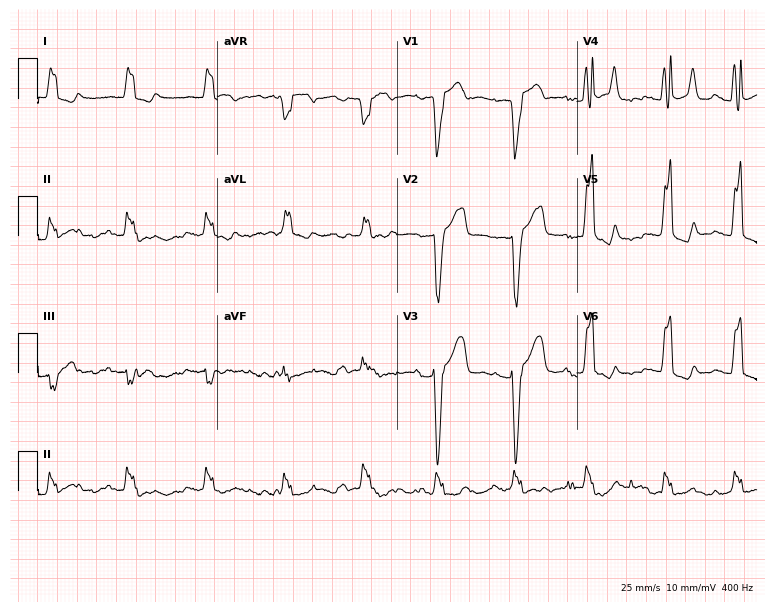
12-lead ECG (7.3-second recording at 400 Hz) from a male, 81 years old. Findings include left bundle branch block.